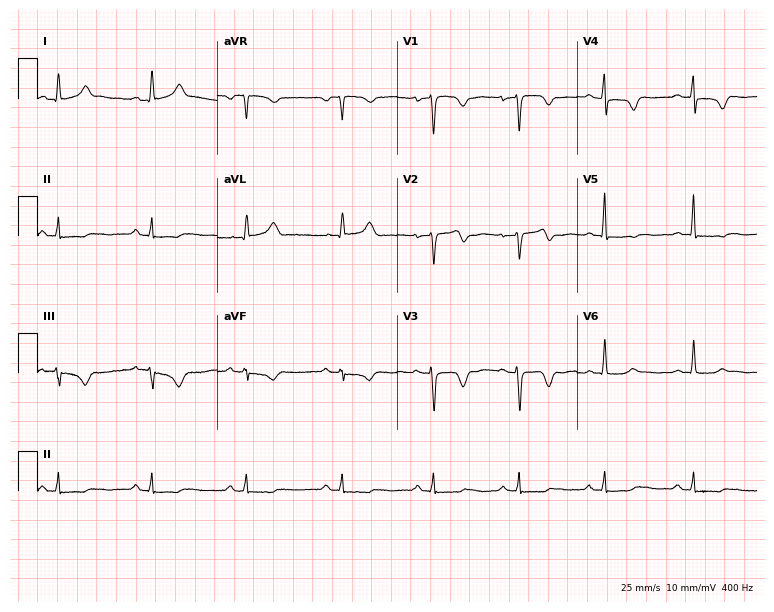
Electrocardiogram (7.3-second recording at 400 Hz), a female, 51 years old. Of the six screened findings (first-degree AV block, right bundle branch block, left bundle branch block, sinus bradycardia, atrial fibrillation, sinus tachycardia), none is recorded.